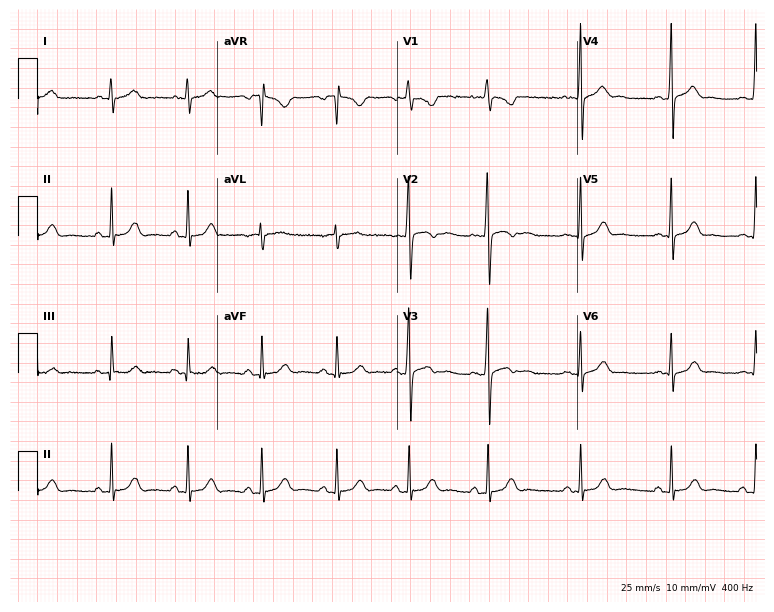
12-lead ECG (7.3-second recording at 400 Hz) from an 18-year-old female. Screened for six findings — first-degree AV block, right bundle branch block, left bundle branch block, sinus bradycardia, atrial fibrillation, sinus tachycardia — none is recorded.